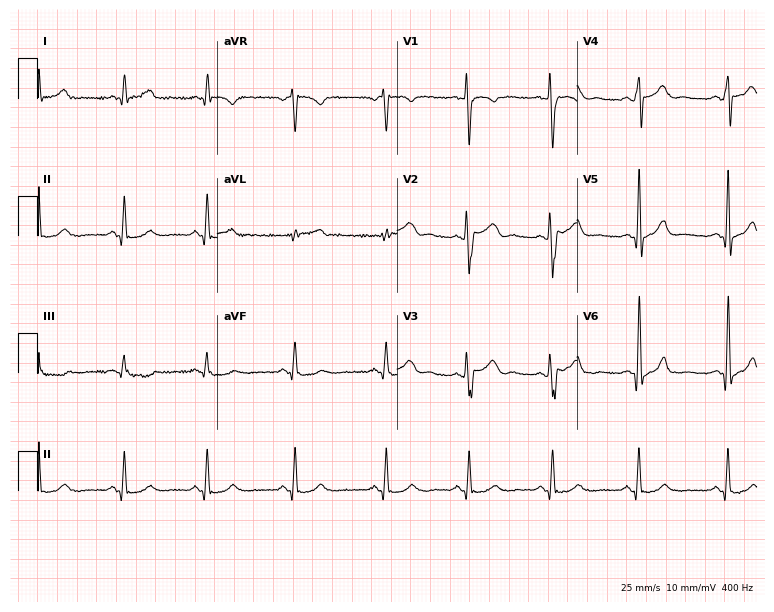
12-lead ECG from a 44-year-old male. No first-degree AV block, right bundle branch block, left bundle branch block, sinus bradycardia, atrial fibrillation or sinus tachycardia recorded for this tracing.